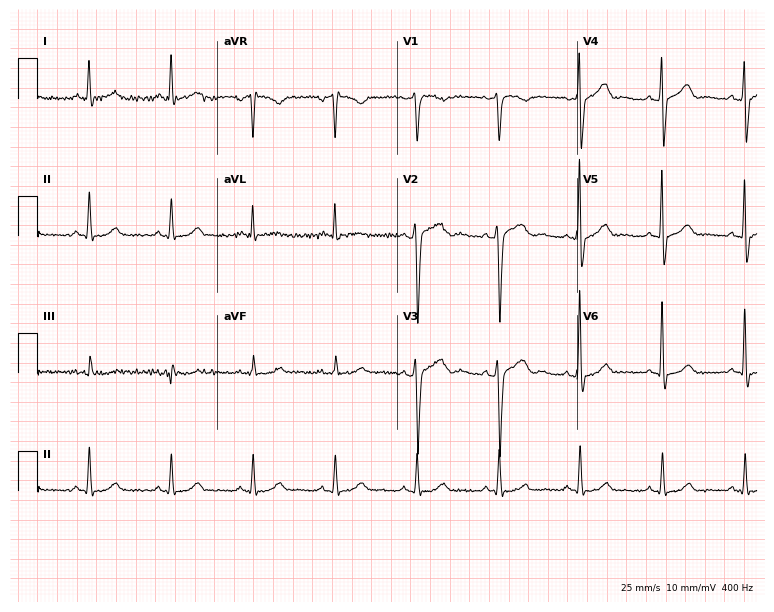
Resting 12-lead electrocardiogram. Patient: a 56-year-old female. Read as a normal ECG.